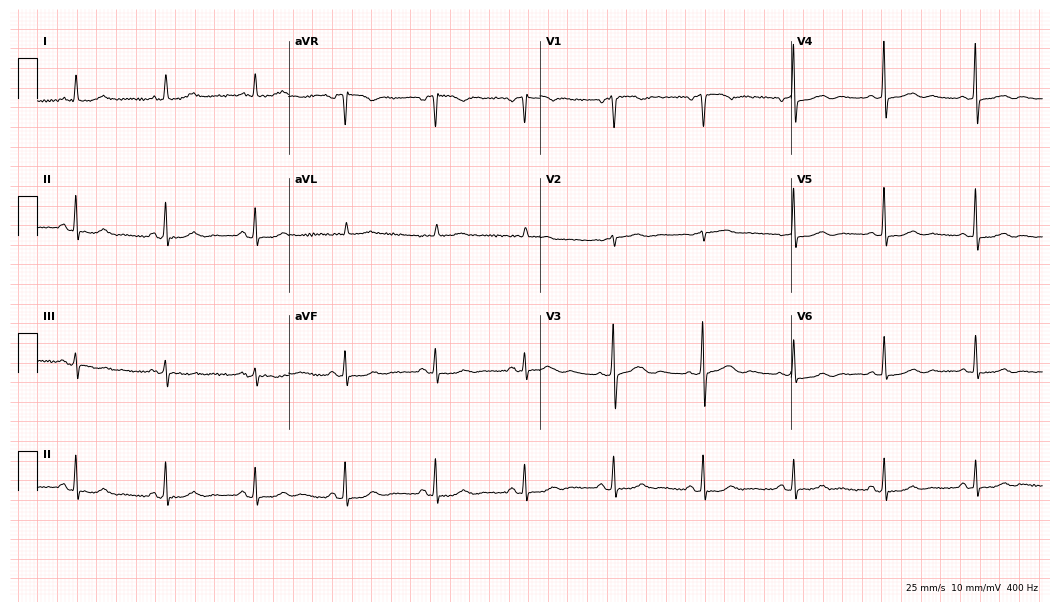
Electrocardiogram, a woman, 83 years old. Overall reading on record: normal ECG.